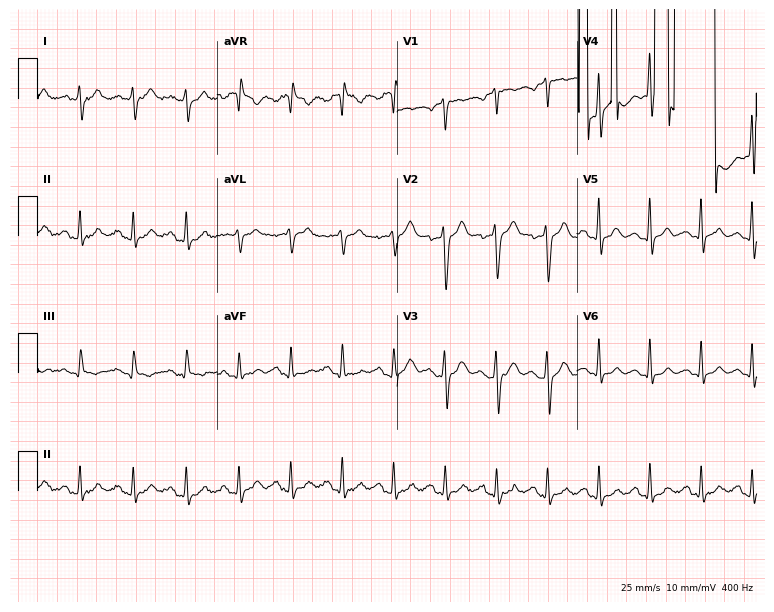
Electrocardiogram (7.3-second recording at 400 Hz), a male patient, 28 years old. Of the six screened findings (first-degree AV block, right bundle branch block, left bundle branch block, sinus bradycardia, atrial fibrillation, sinus tachycardia), none is recorded. Other findings, if any, are not listed.